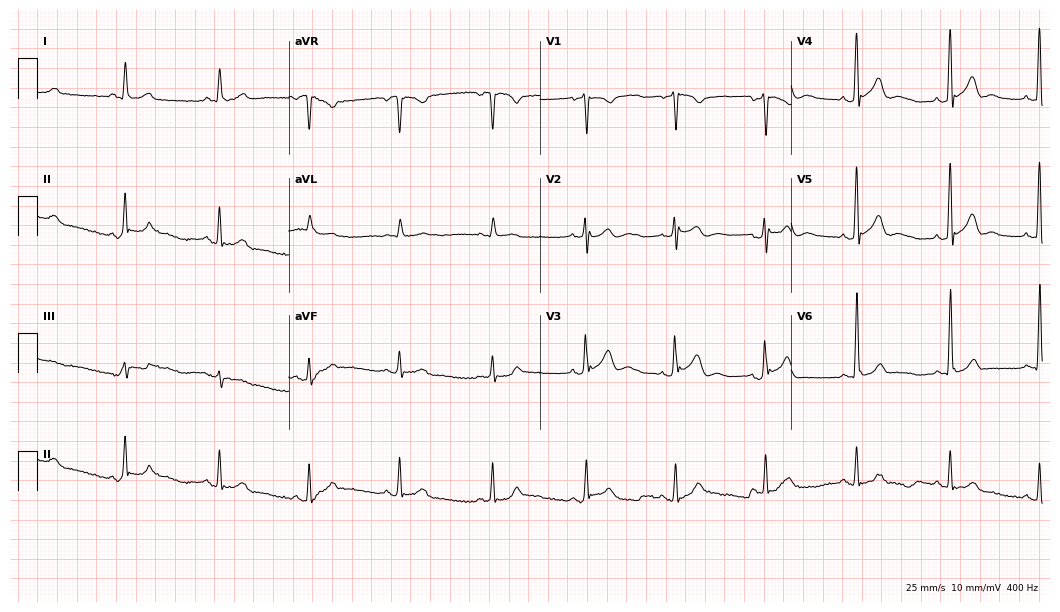
ECG (10.2-second recording at 400 Hz) — a male, 30 years old. Labelled as a normal ECG.